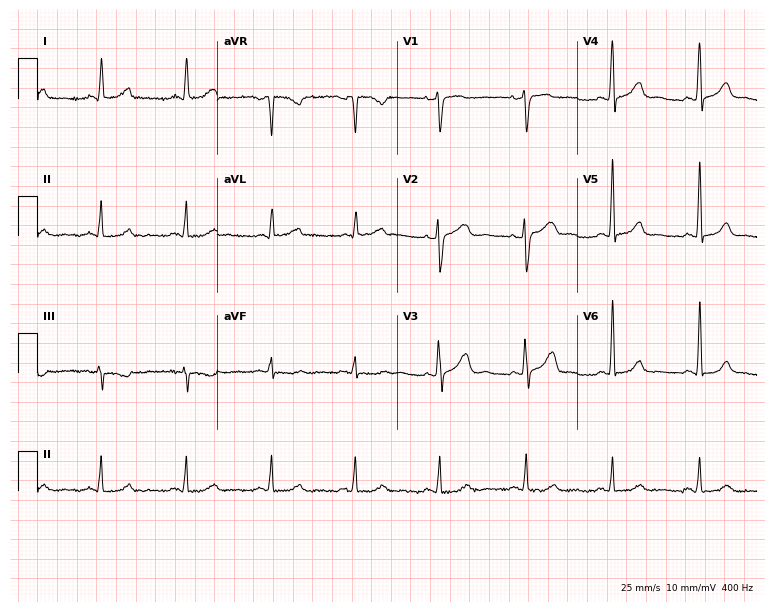
Resting 12-lead electrocardiogram (7.3-second recording at 400 Hz). Patient: a 47-year-old female. Read as a normal ECG.